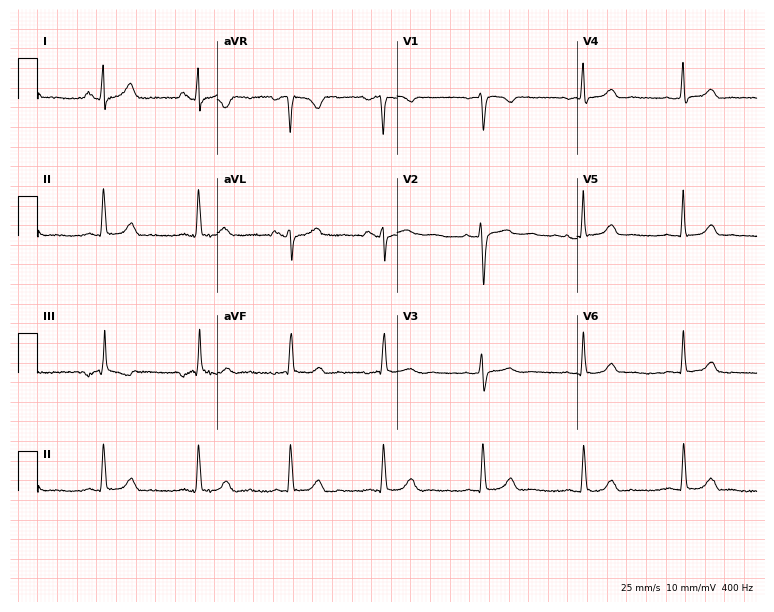
ECG — a woman, 61 years old. Labelled as a normal ECG.